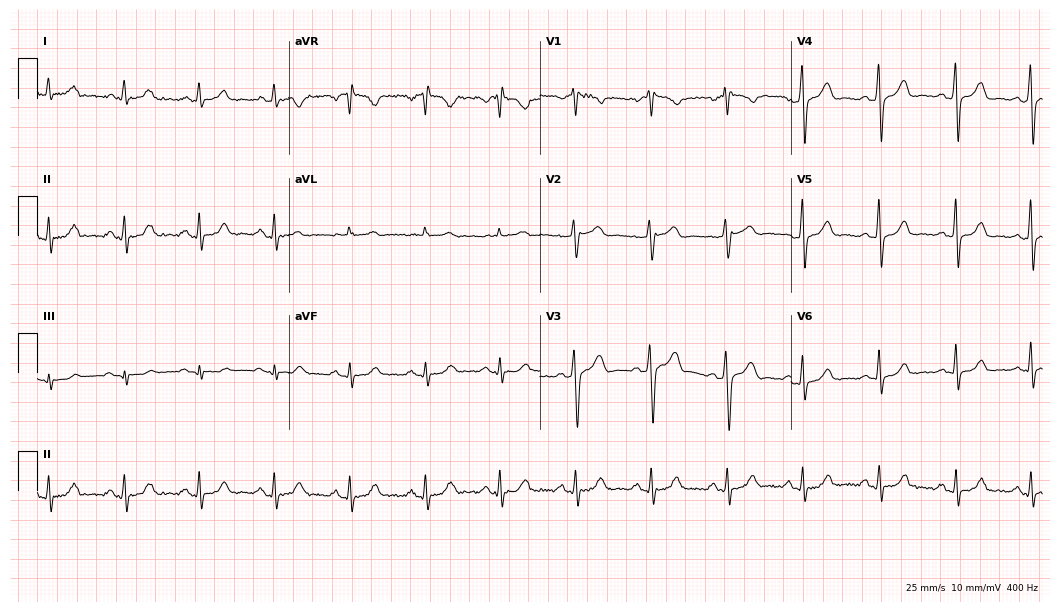
Resting 12-lead electrocardiogram (10.2-second recording at 400 Hz). Patient: a male, 60 years old. Read as a normal ECG.